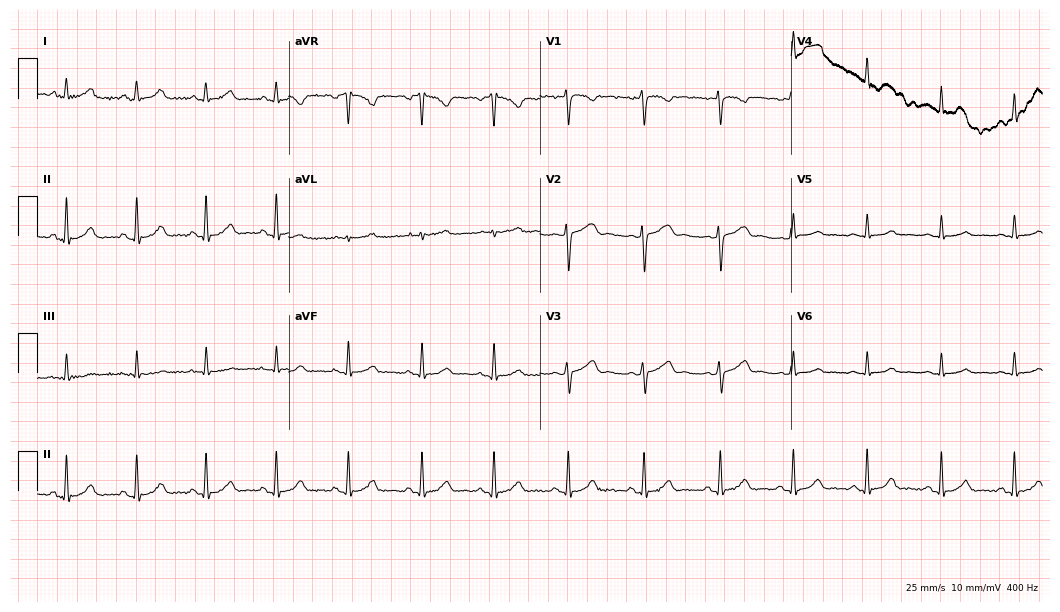
12-lead ECG from a female, 25 years old. No first-degree AV block, right bundle branch block, left bundle branch block, sinus bradycardia, atrial fibrillation or sinus tachycardia recorded for this tracing. Findings outside these six are not listed.